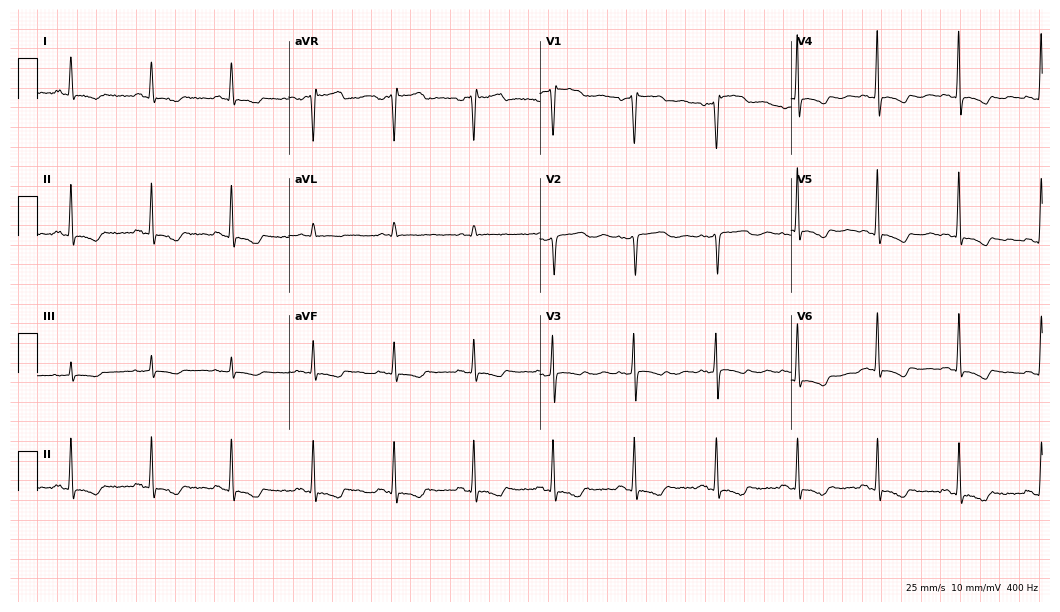
ECG (10.2-second recording at 400 Hz) — a 53-year-old female patient. Screened for six findings — first-degree AV block, right bundle branch block (RBBB), left bundle branch block (LBBB), sinus bradycardia, atrial fibrillation (AF), sinus tachycardia — none is recorded. Only these six findings were labelled.